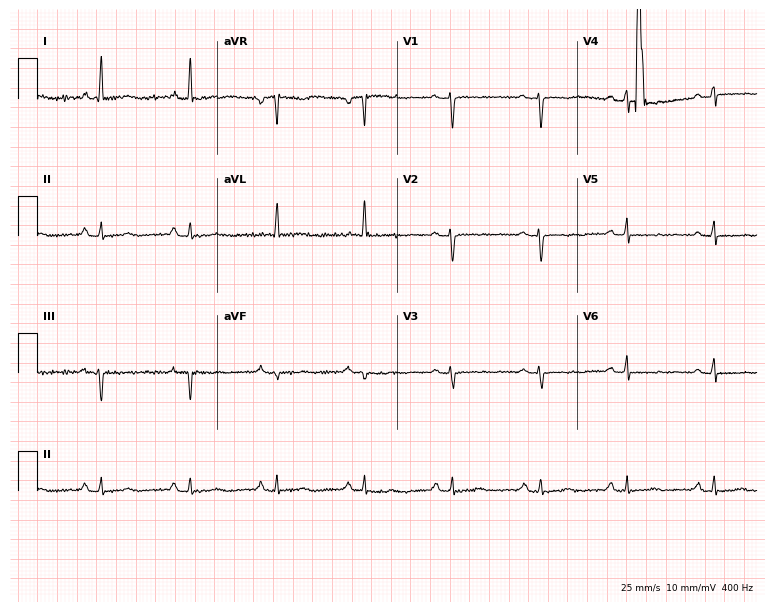
Electrocardiogram (7.3-second recording at 400 Hz), a woman, 48 years old. Of the six screened findings (first-degree AV block, right bundle branch block (RBBB), left bundle branch block (LBBB), sinus bradycardia, atrial fibrillation (AF), sinus tachycardia), none is recorded.